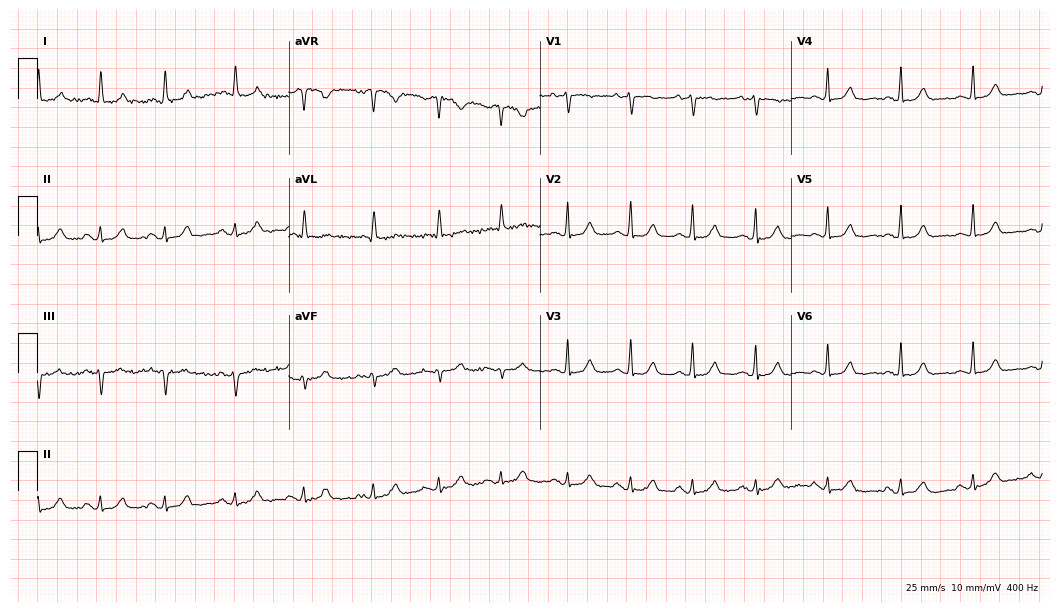
12-lead ECG (10.2-second recording at 400 Hz) from a woman, 84 years old. Screened for six findings — first-degree AV block, right bundle branch block, left bundle branch block, sinus bradycardia, atrial fibrillation, sinus tachycardia — none is recorded. Other findings, if any, are not listed.